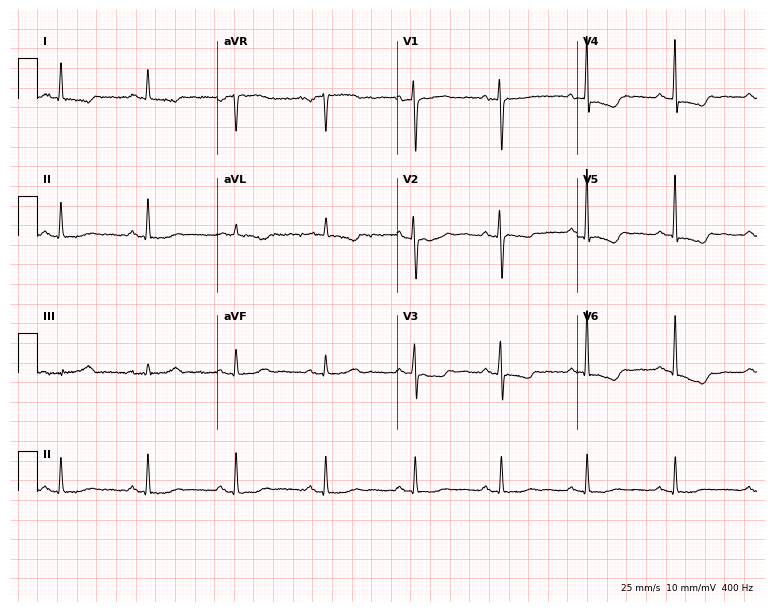
Standard 12-lead ECG recorded from a 57-year-old female patient (7.3-second recording at 400 Hz). None of these six findings is recorded: first-degree AV block, right bundle branch block (RBBB), left bundle branch block (LBBB), sinus bradycardia, atrial fibrillation (AF), sinus tachycardia.